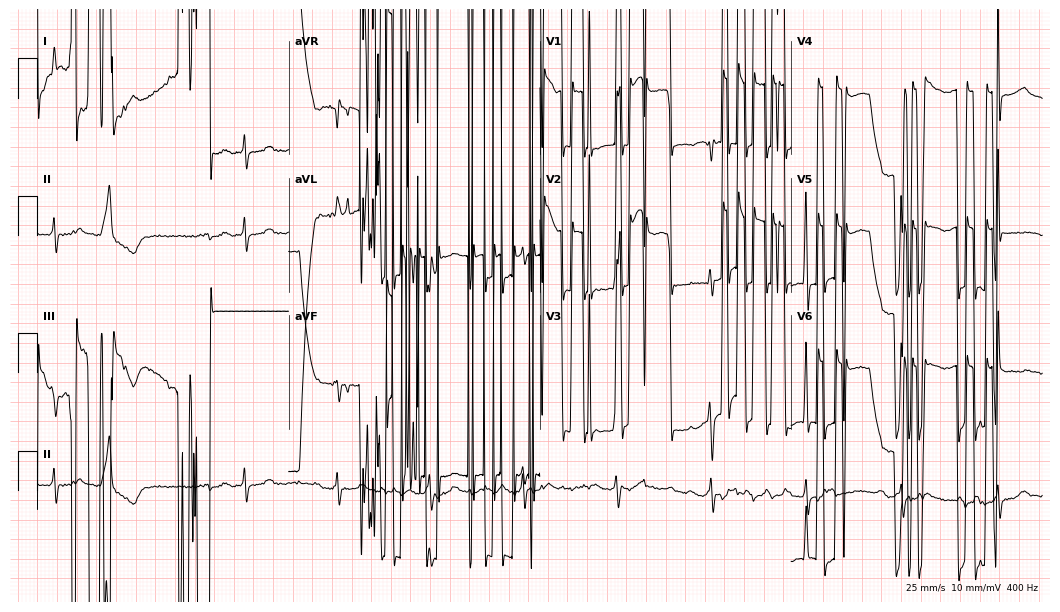
Resting 12-lead electrocardiogram (10.2-second recording at 400 Hz). Patient: a 79-year-old male. The tracing shows atrial fibrillation.